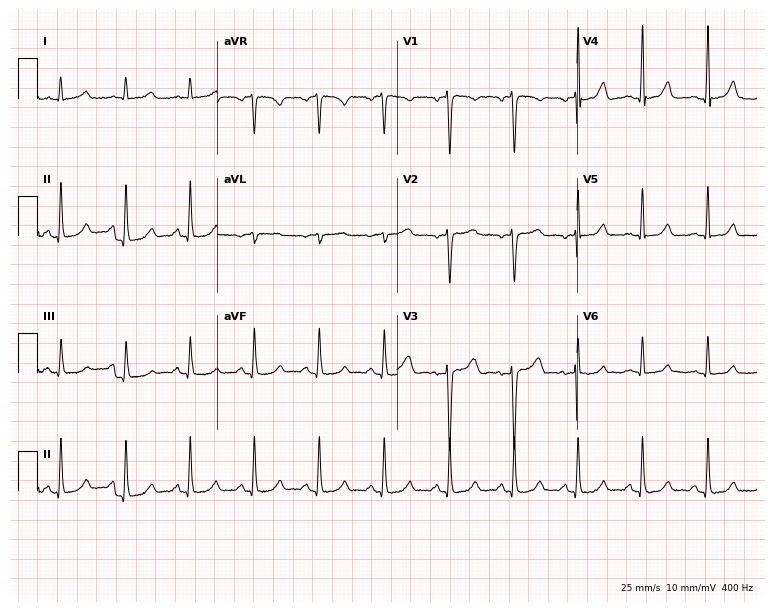
Resting 12-lead electrocardiogram (7.3-second recording at 400 Hz). Patient: a 43-year-old female. None of these six findings is recorded: first-degree AV block, right bundle branch block, left bundle branch block, sinus bradycardia, atrial fibrillation, sinus tachycardia. Findings outside these six are not listed.